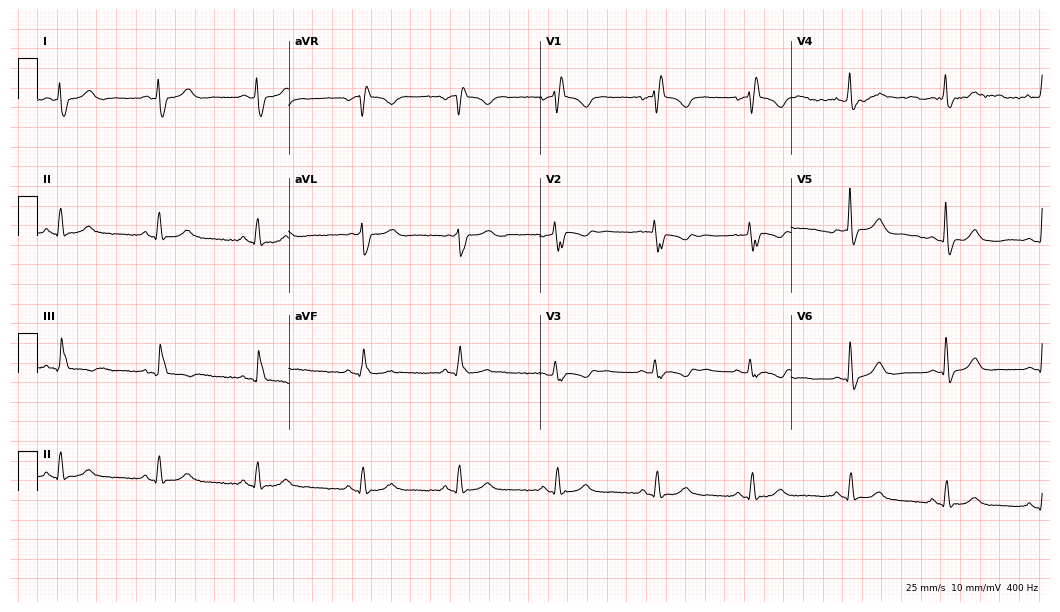
Standard 12-lead ECG recorded from a woman, 64 years old. None of these six findings is recorded: first-degree AV block, right bundle branch block (RBBB), left bundle branch block (LBBB), sinus bradycardia, atrial fibrillation (AF), sinus tachycardia.